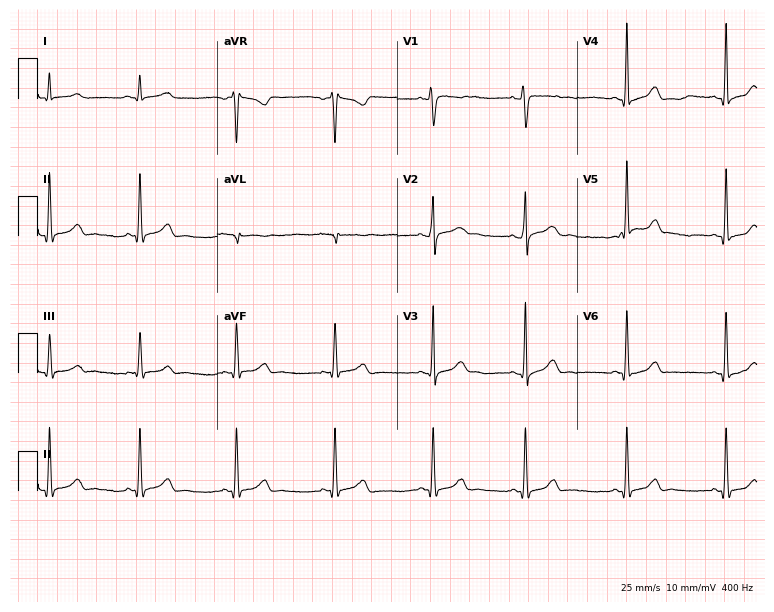
Resting 12-lead electrocardiogram. Patient: a male, 25 years old. Read as a normal ECG.